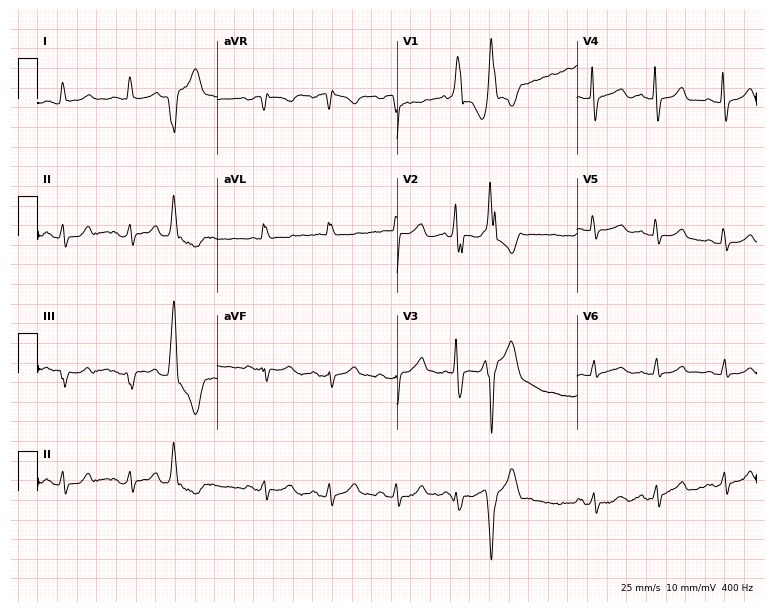
Standard 12-lead ECG recorded from an 83-year-old female. None of these six findings is recorded: first-degree AV block, right bundle branch block, left bundle branch block, sinus bradycardia, atrial fibrillation, sinus tachycardia. Other findings, if any, are not listed.